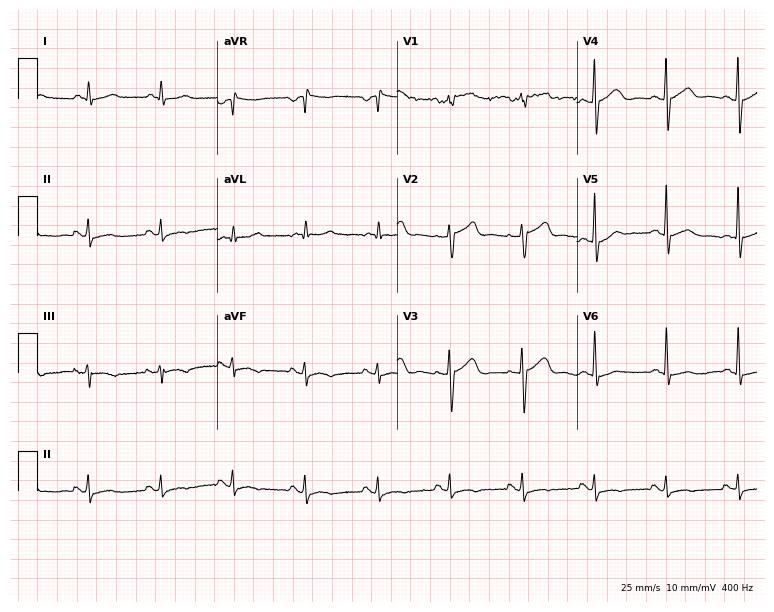
Standard 12-lead ECG recorded from a male patient, 64 years old. None of these six findings is recorded: first-degree AV block, right bundle branch block, left bundle branch block, sinus bradycardia, atrial fibrillation, sinus tachycardia. Other findings, if any, are not listed.